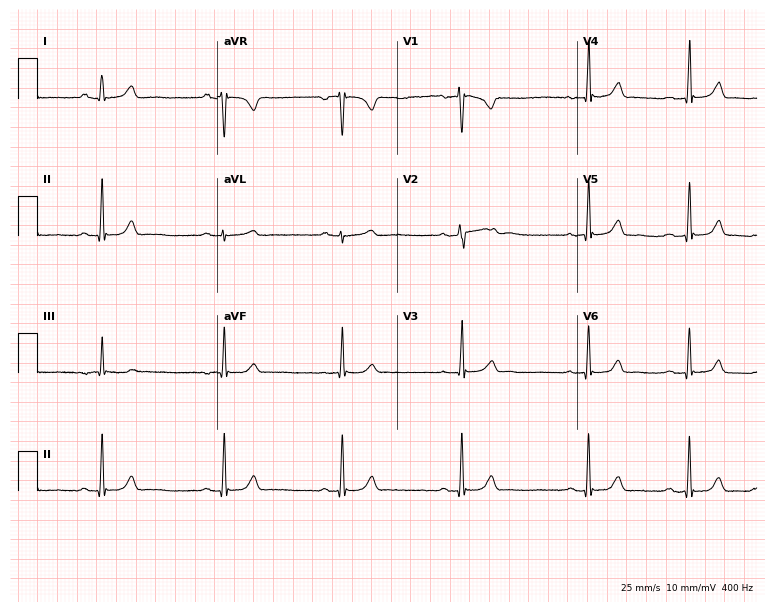
12-lead ECG from a female, 21 years old. Labelled as a normal ECG.